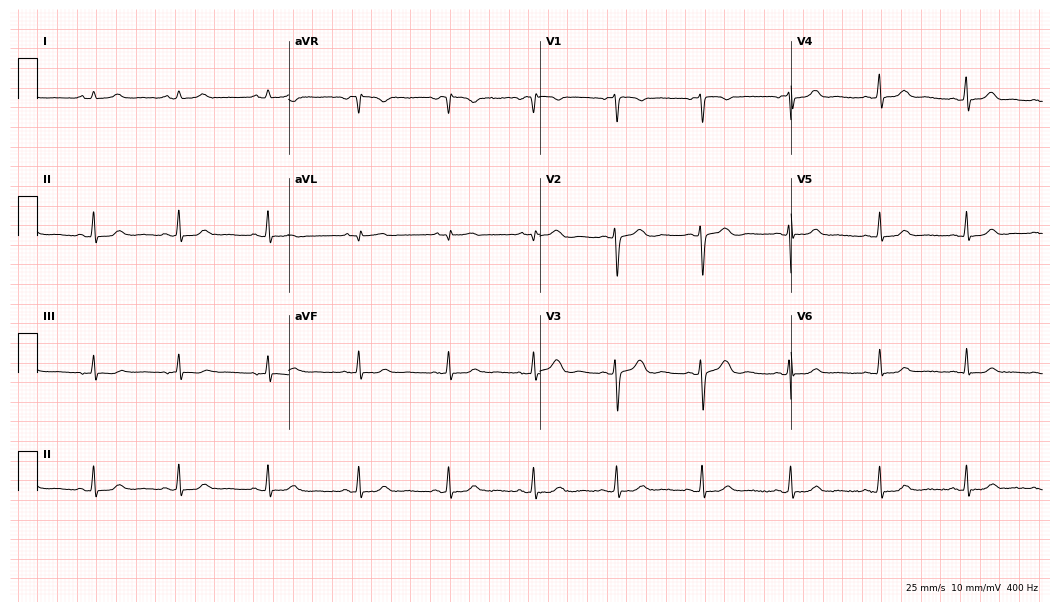
ECG — a 21-year-old female. Labelled as a normal ECG.